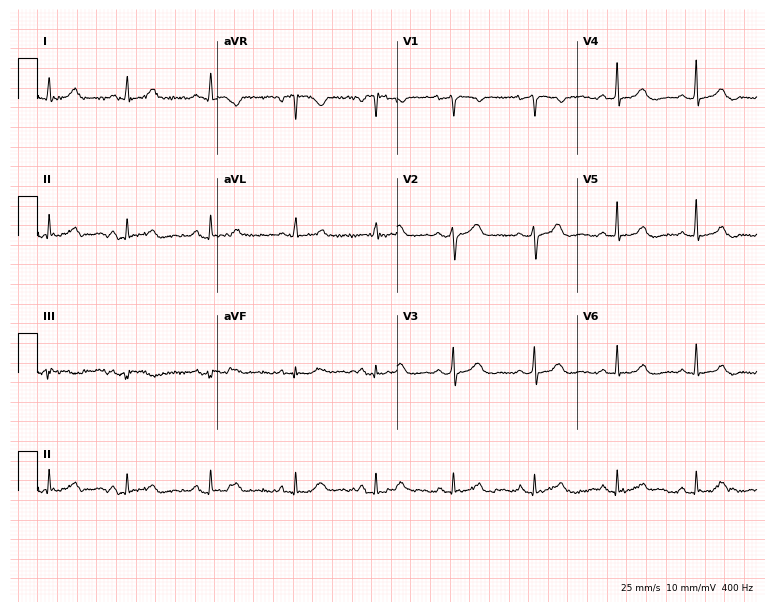
12-lead ECG (7.3-second recording at 400 Hz) from a woman, 40 years old. Labelled as a normal ECG.